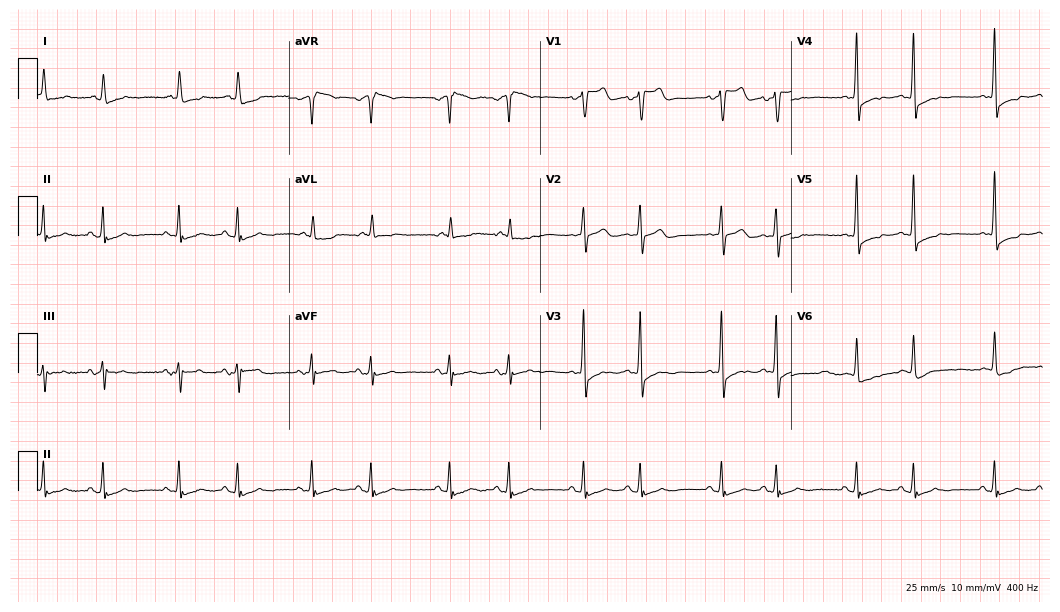
Resting 12-lead electrocardiogram (10.2-second recording at 400 Hz). Patient: an 83-year-old female. None of these six findings is recorded: first-degree AV block, right bundle branch block (RBBB), left bundle branch block (LBBB), sinus bradycardia, atrial fibrillation (AF), sinus tachycardia.